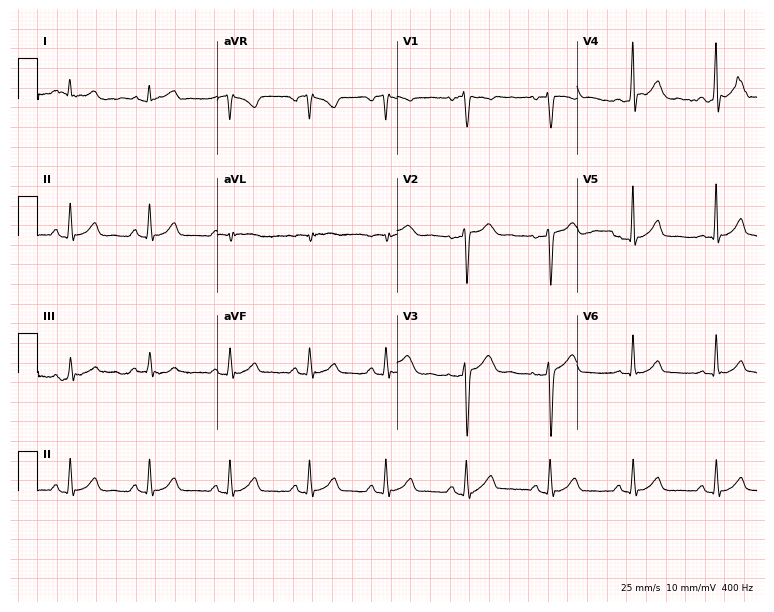
Standard 12-lead ECG recorded from a man, 19 years old (7.3-second recording at 400 Hz). Read as a normal ECG.